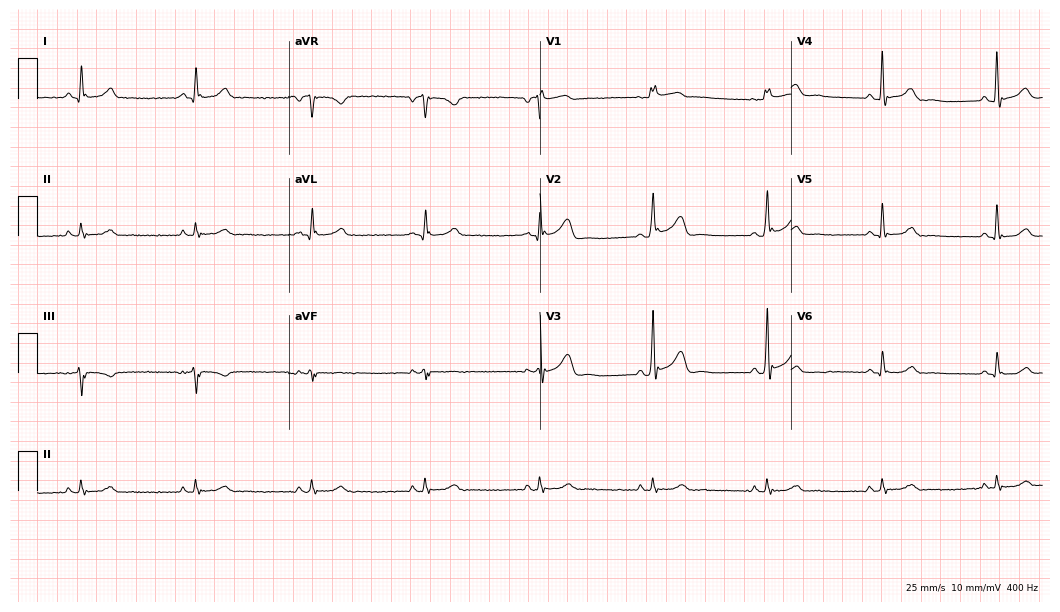
Electrocardiogram (10.2-second recording at 400 Hz), a 58-year-old male. Of the six screened findings (first-degree AV block, right bundle branch block (RBBB), left bundle branch block (LBBB), sinus bradycardia, atrial fibrillation (AF), sinus tachycardia), none is recorded.